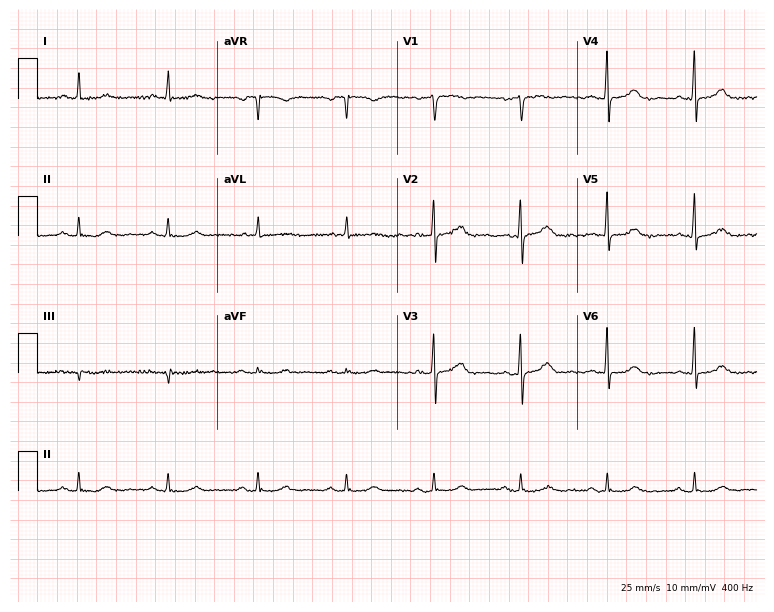
12-lead ECG from a 66-year-old female. Screened for six findings — first-degree AV block, right bundle branch block (RBBB), left bundle branch block (LBBB), sinus bradycardia, atrial fibrillation (AF), sinus tachycardia — none is recorded.